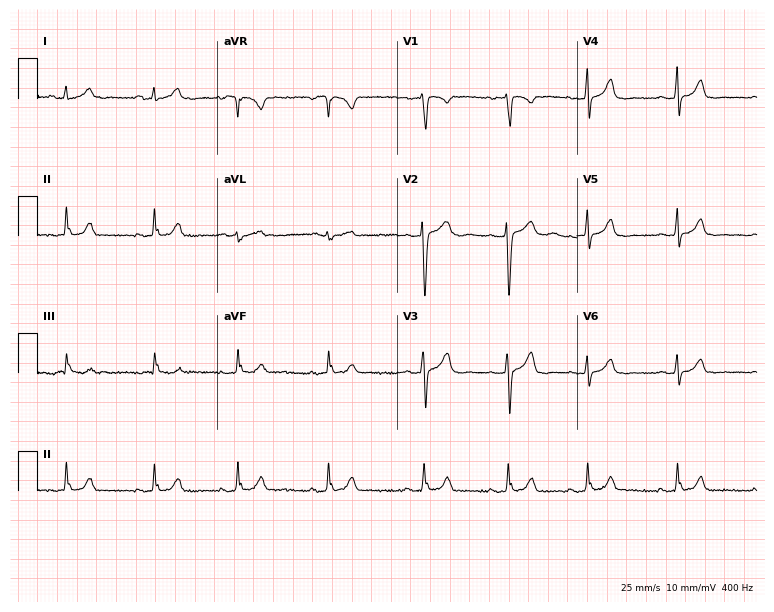
Resting 12-lead electrocardiogram (7.3-second recording at 400 Hz). Patient: a female, 32 years old. None of these six findings is recorded: first-degree AV block, right bundle branch block, left bundle branch block, sinus bradycardia, atrial fibrillation, sinus tachycardia. Only these six findings were labelled.